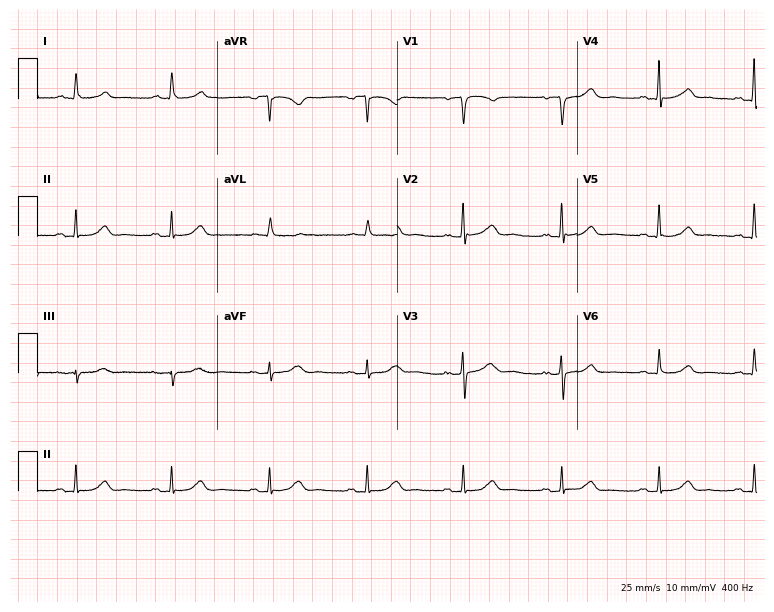
12-lead ECG from a 62-year-old woman. No first-degree AV block, right bundle branch block, left bundle branch block, sinus bradycardia, atrial fibrillation or sinus tachycardia recorded for this tracing. Findings outside these six are not listed.